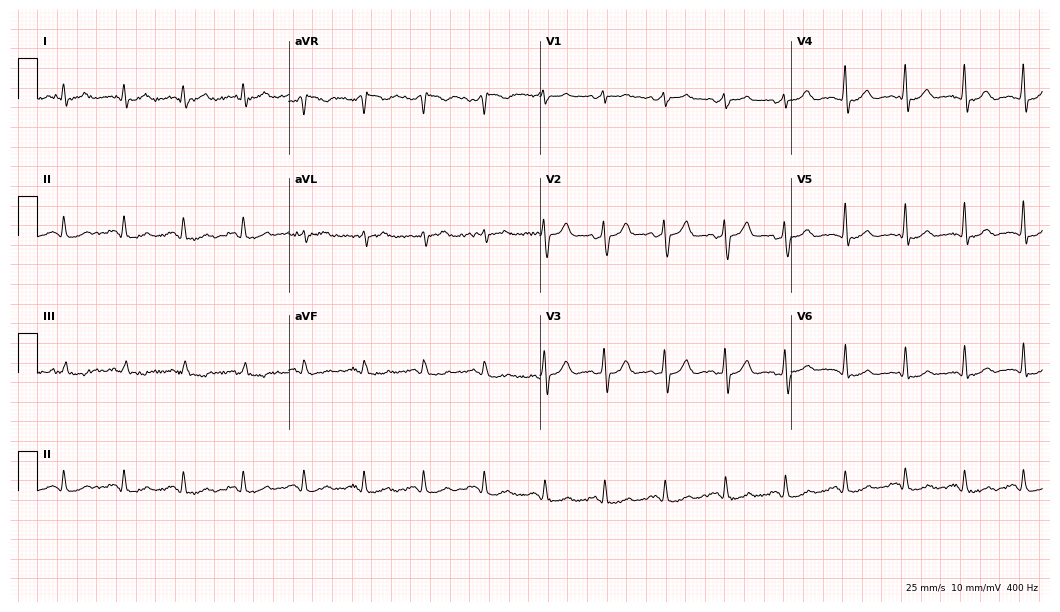
12-lead ECG (10.2-second recording at 400 Hz) from a 60-year-old female patient. Screened for six findings — first-degree AV block, right bundle branch block, left bundle branch block, sinus bradycardia, atrial fibrillation, sinus tachycardia — none is recorded.